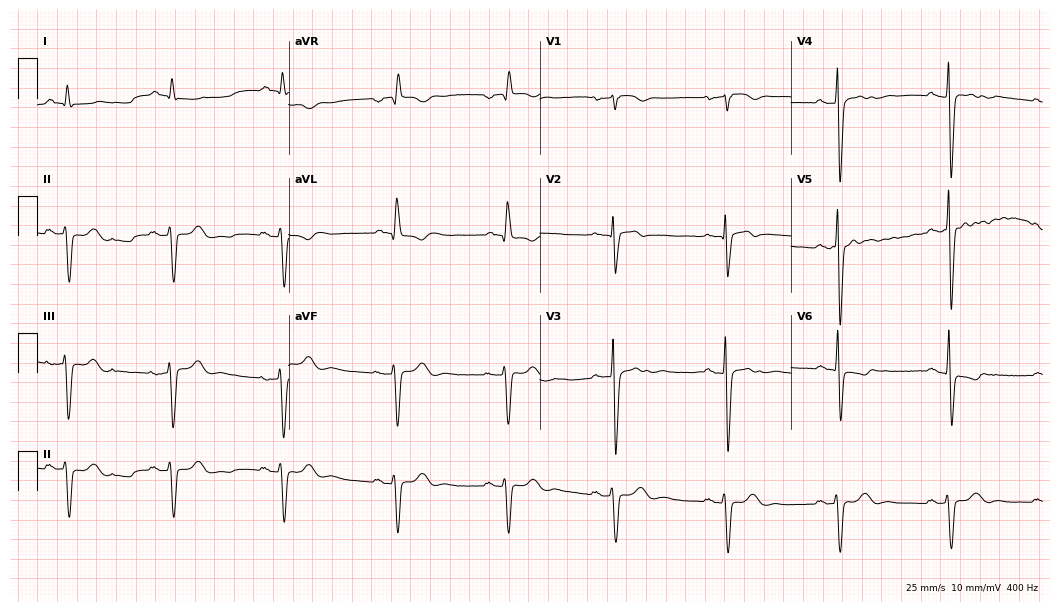
12-lead ECG (10.2-second recording at 400 Hz) from a 70-year-old male. Screened for six findings — first-degree AV block, right bundle branch block, left bundle branch block, sinus bradycardia, atrial fibrillation, sinus tachycardia — none is recorded. Other findings, if any, are not listed.